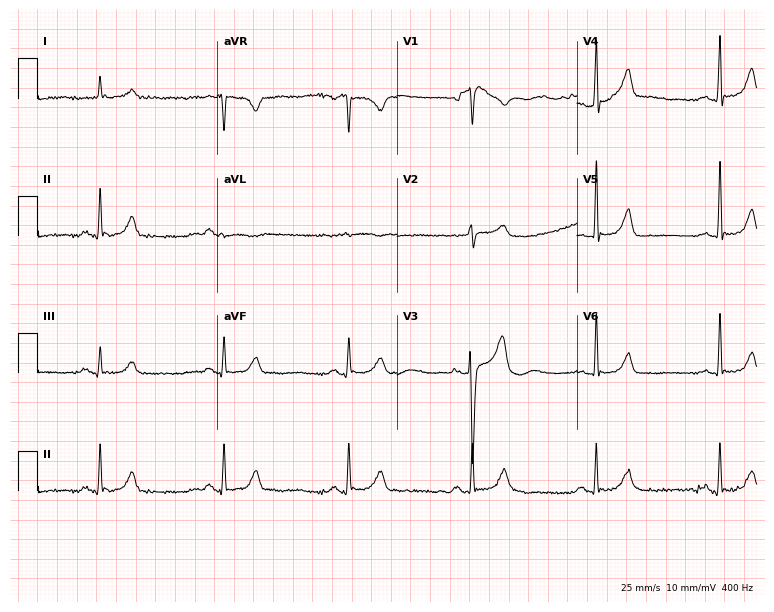
ECG — a 64-year-old man. Findings include sinus bradycardia (a sinus rate of 50 beats per minute or less).